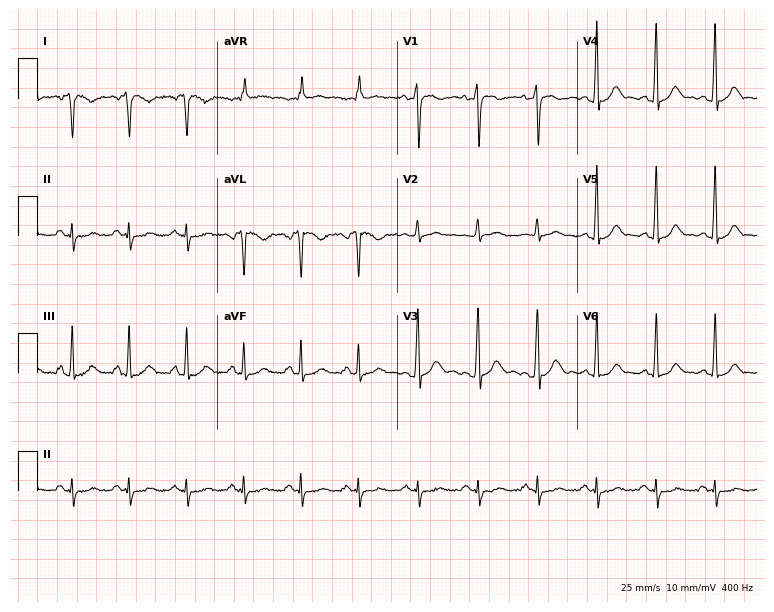
Resting 12-lead electrocardiogram (7.3-second recording at 400 Hz). Patient: a 31-year-old female. None of these six findings is recorded: first-degree AV block, right bundle branch block, left bundle branch block, sinus bradycardia, atrial fibrillation, sinus tachycardia.